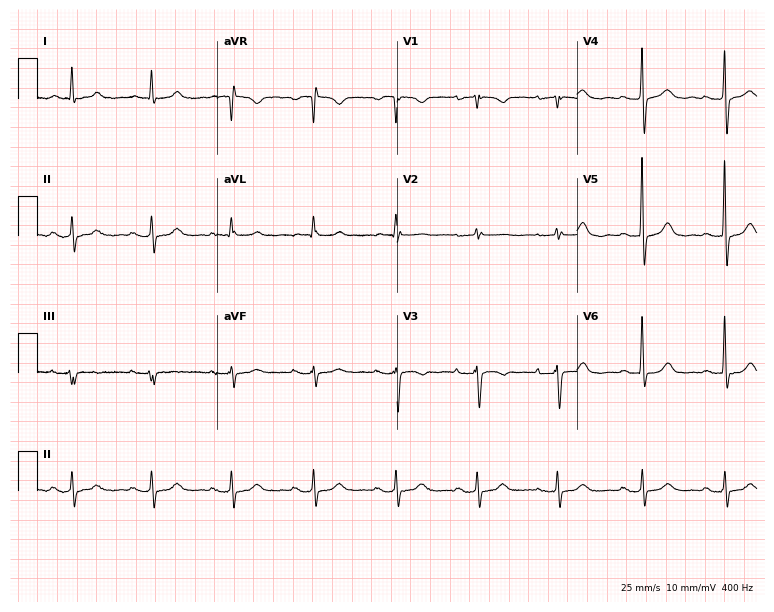
ECG — an 85-year-old woman. Screened for six findings — first-degree AV block, right bundle branch block, left bundle branch block, sinus bradycardia, atrial fibrillation, sinus tachycardia — none is recorded.